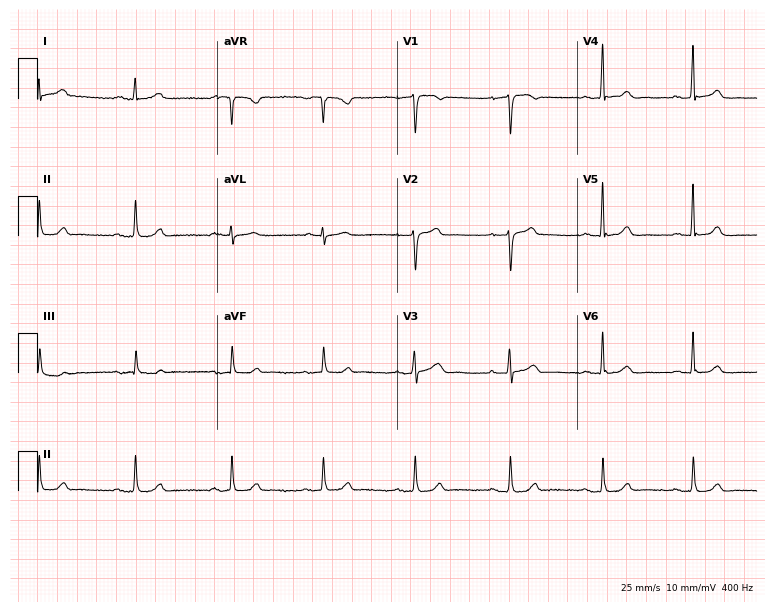
12-lead ECG from a male patient, 52 years old (7.3-second recording at 400 Hz). Recorded interpretation: within normal limits.